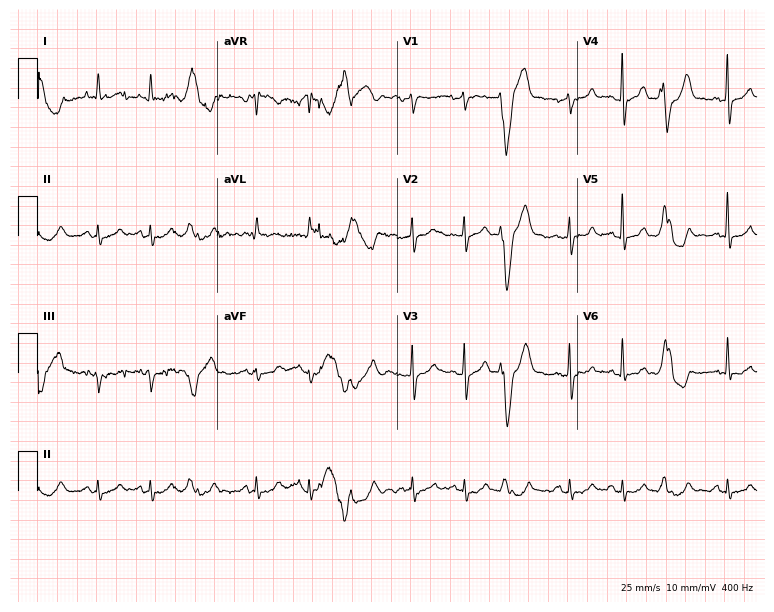
Electrocardiogram (7.3-second recording at 400 Hz), an 81-year-old woman. Of the six screened findings (first-degree AV block, right bundle branch block, left bundle branch block, sinus bradycardia, atrial fibrillation, sinus tachycardia), none is recorded.